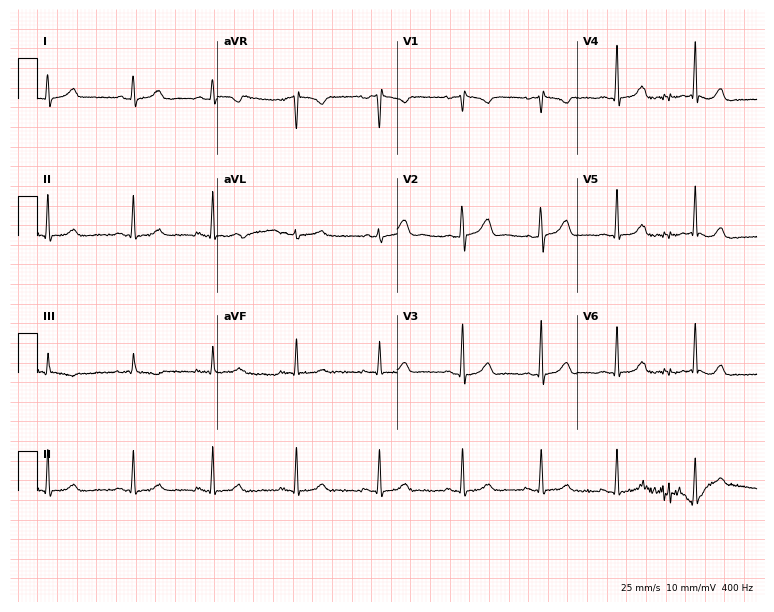
ECG — a 23-year-old female. Labelled as a normal ECG.